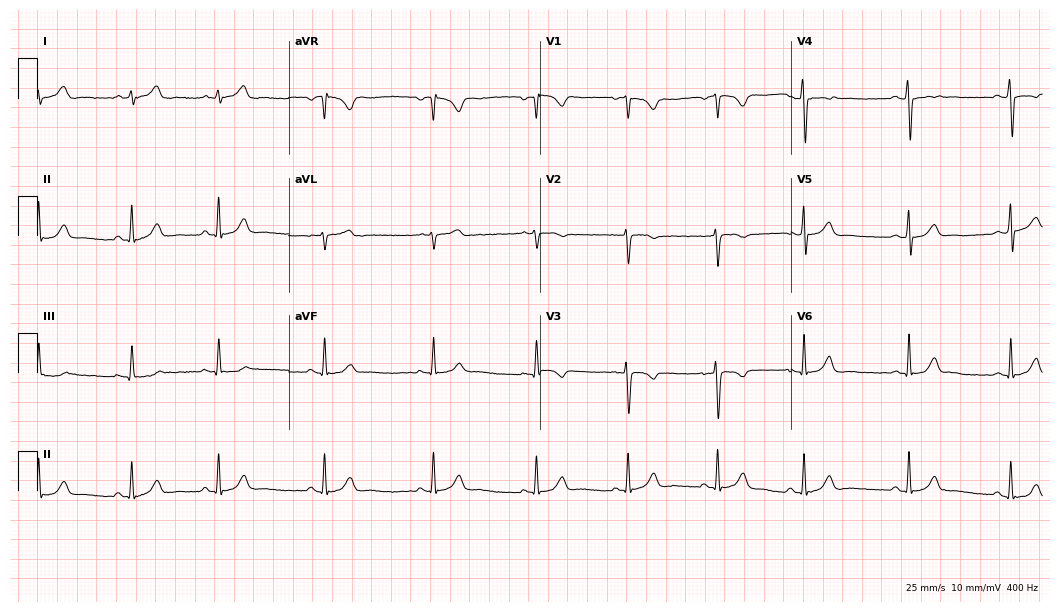
ECG — a woman, 22 years old. Screened for six findings — first-degree AV block, right bundle branch block, left bundle branch block, sinus bradycardia, atrial fibrillation, sinus tachycardia — none is recorded.